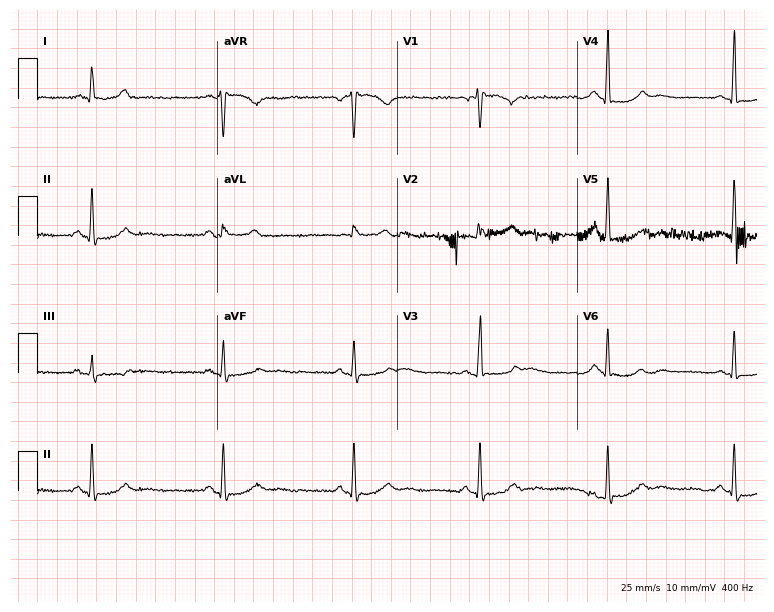
Resting 12-lead electrocardiogram (7.3-second recording at 400 Hz). Patient: a woman, 57 years old. None of these six findings is recorded: first-degree AV block, right bundle branch block (RBBB), left bundle branch block (LBBB), sinus bradycardia, atrial fibrillation (AF), sinus tachycardia. Other findings, if any, are not listed.